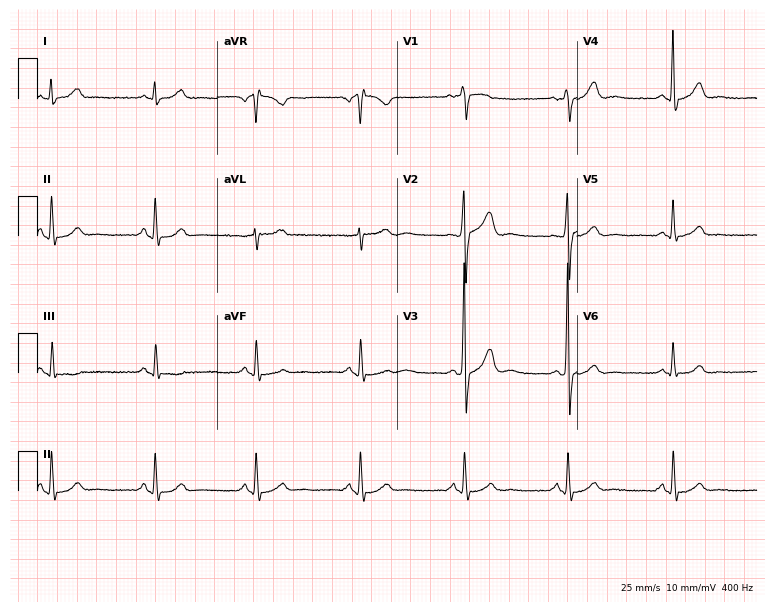
12-lead ECG from a 69-year-old man. Recorded interpretation: within normal limits.